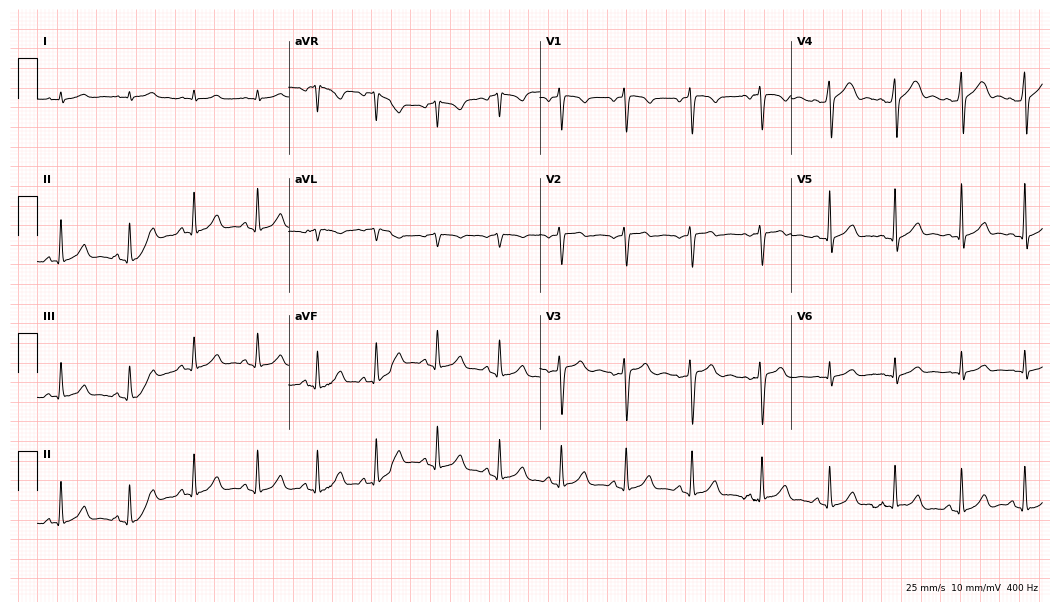
ECG (10.2-second recording at 400 Hz) — a 17-year-old man. Labelled as a normal ECG.